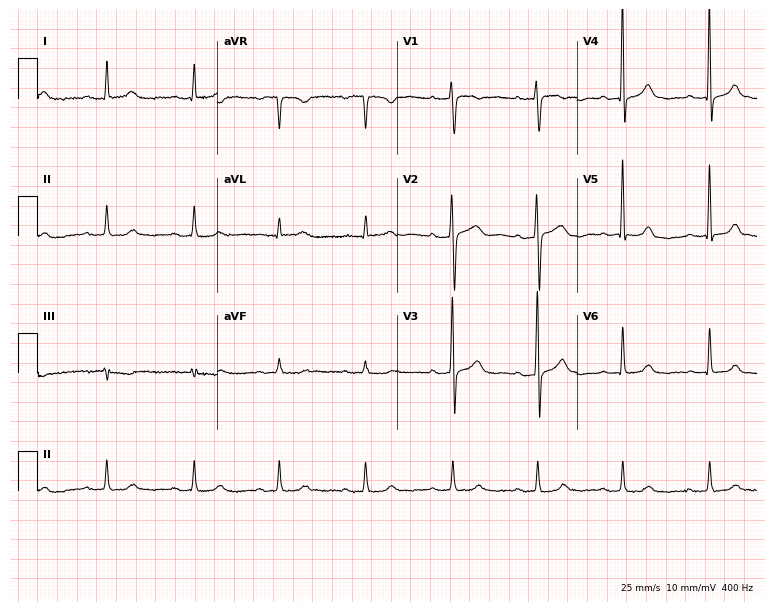
12-lead ECG (7.3-second recording at 400 Hz) from a female patient, 75 years old. Labelled as a normal ECG.